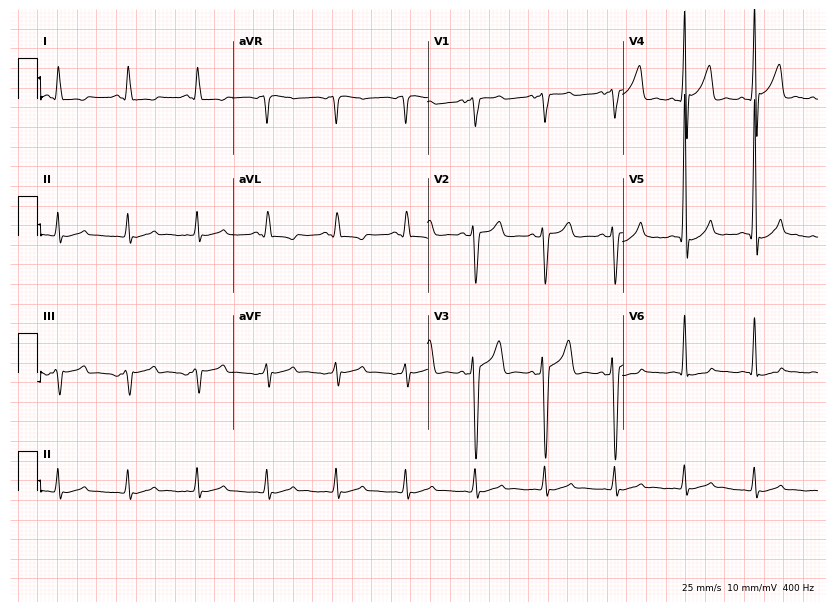
Electrocardiogram, a male patient, 46 years old. Of the six screened findings (first-degree AV block, right bundle branch block, left bundle branch block, sinus bradycardia, atrial fibrillation, sinus tachycardia), none is recorded.